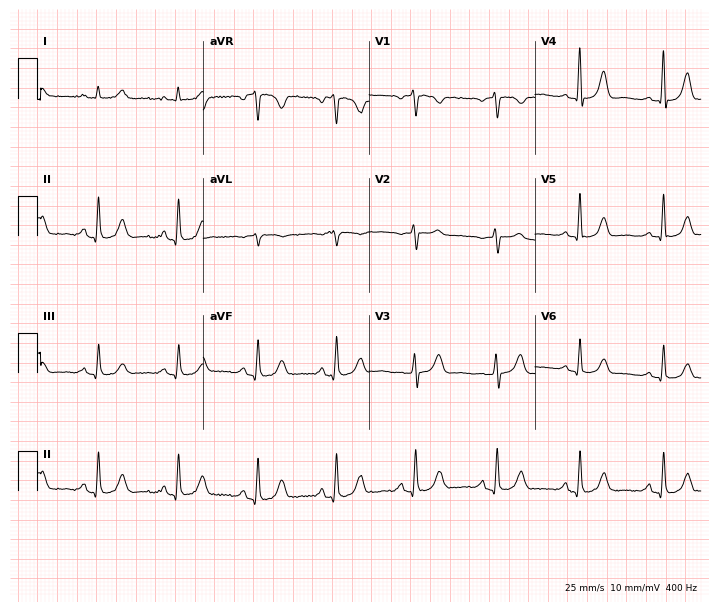
Resting 12-lead electrocardiogram (6.8-second recording at 400 Hz). Patient: a 57-year-old woman. None of these six findings is recorded: first-degree AV block, right bundle branch block (RBBB), left bundle branch block (LBBB), sinus bradycardia, atrial fibrillation (AF), sinus tachycardia. Other findings, if any, are not listed.